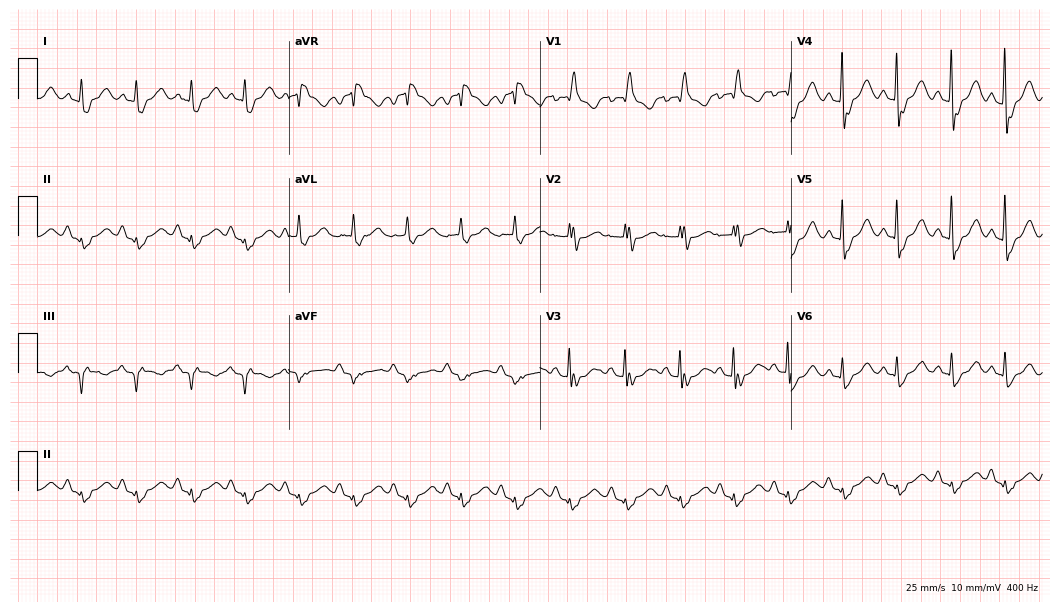
ECG — a 70-year-old female. Screened for six findings — first-degree AV block, right bundle branch block (RBBB), left bundle branch block (LBBB), sinus bradycardia, atrial fibrillation (AF), sinus tachycardia — none is recorded. Only these six findings were labelled.